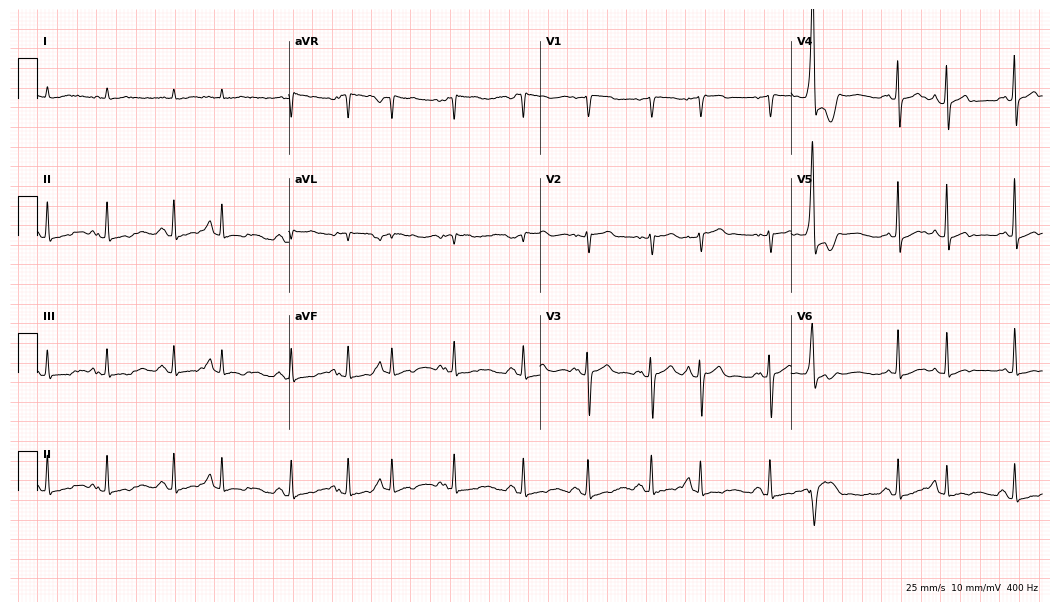
Resting 12-lead electrocardiogram. Patient: a male, 84 years old. None of these six findings is recorded: first-degree AV block, right bundle branch block, left bundle branch block, sinus bradycardia, atrial fibrillation, sinus tachycardia.